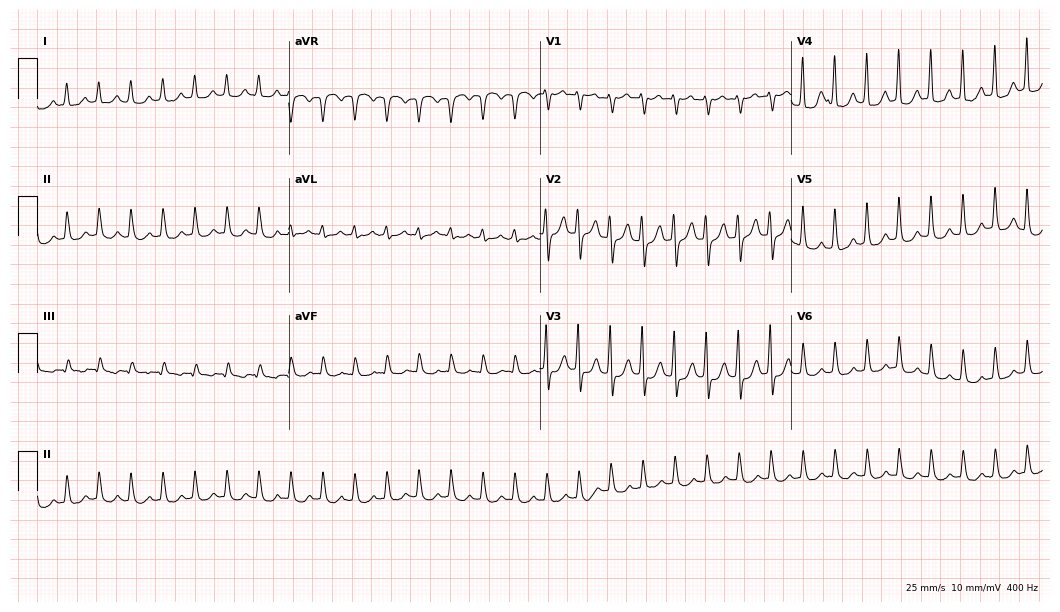
Standard 12-lead ECG recorded from a female, 73 years old. None of these six findings is recorded: first-degree AV block, right bundle branch block, left bundle branch block, sinus bradycardia, atrial fibrillation, sinus tachycardia. Findings outside these six are not listed.